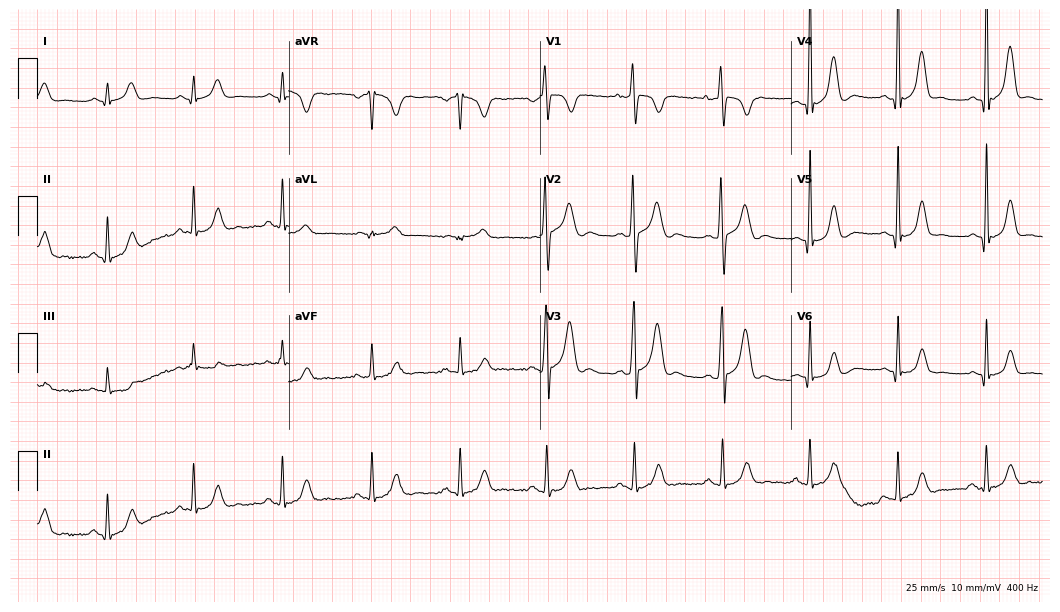
12-lead ECG from a 21-year-old male patient. No first-degree AV block, right bundle branch block, left bundle branch block, sinus bradycardia, atrial fibrillation or sinus tachycardia recorded for this tracing. Findings outside these six are not listed.